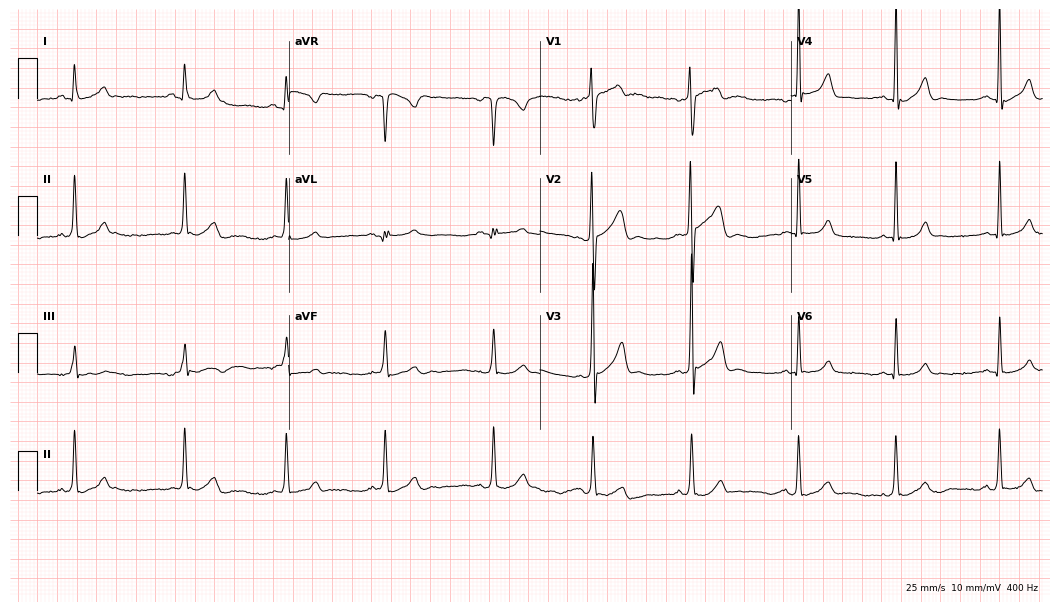
Resting 12-lead electrocardiogram (10.2-second recording at 400 Hz). Patient: a 17-year-old male. Read as a normal ECG.